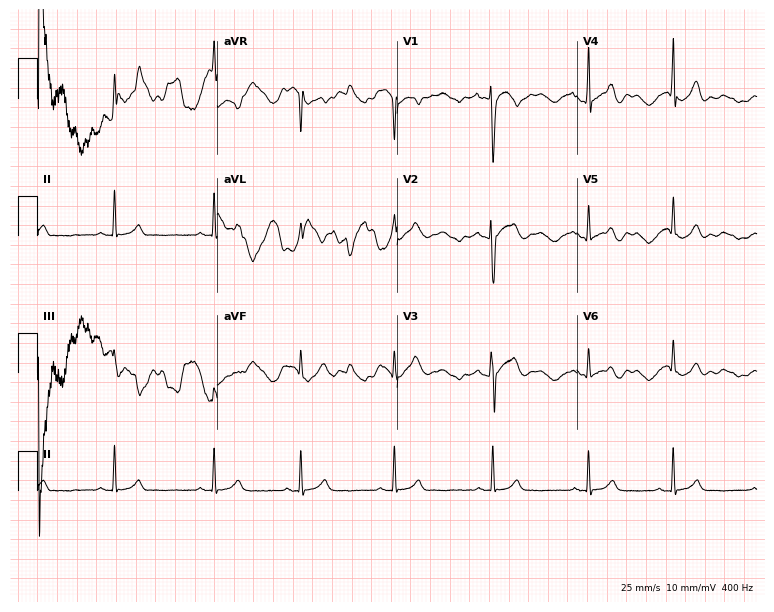
Resting 12-lead electrocardiogram (7.3-second recording at 400 Hz). Patient: a man, 21 years old. None of these six findings is recorded: first-degree AV block, right bundle branch block, left bundle branch block, sinus bradycardia, atrial fibrillation, sinus tachycardia. Only these six findings were labelled.